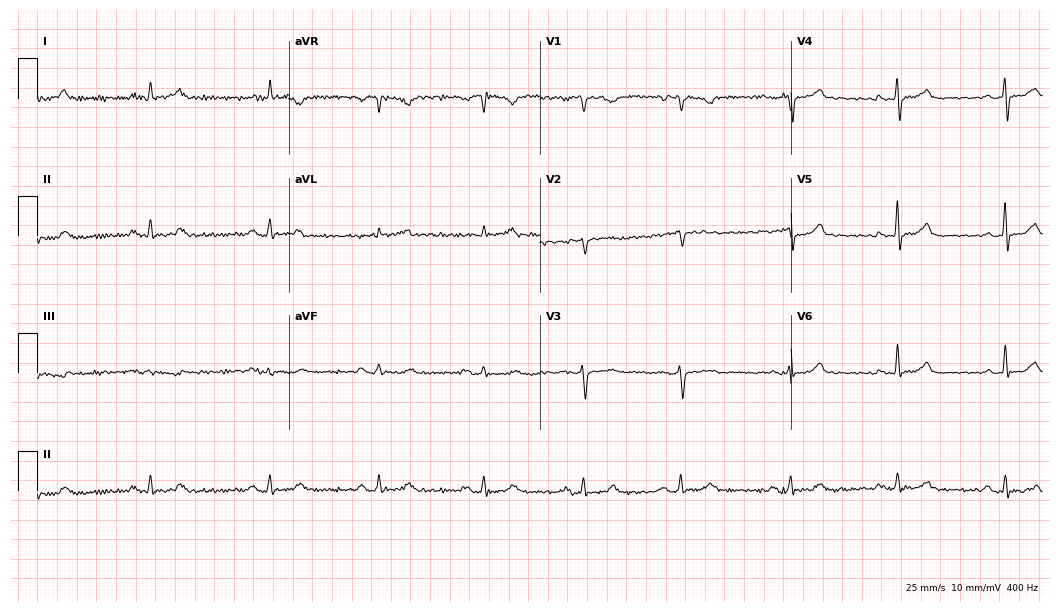
Resting 12-lead electrocardiogram. Patient: a 71-year-old female. Read as a normal ECG.